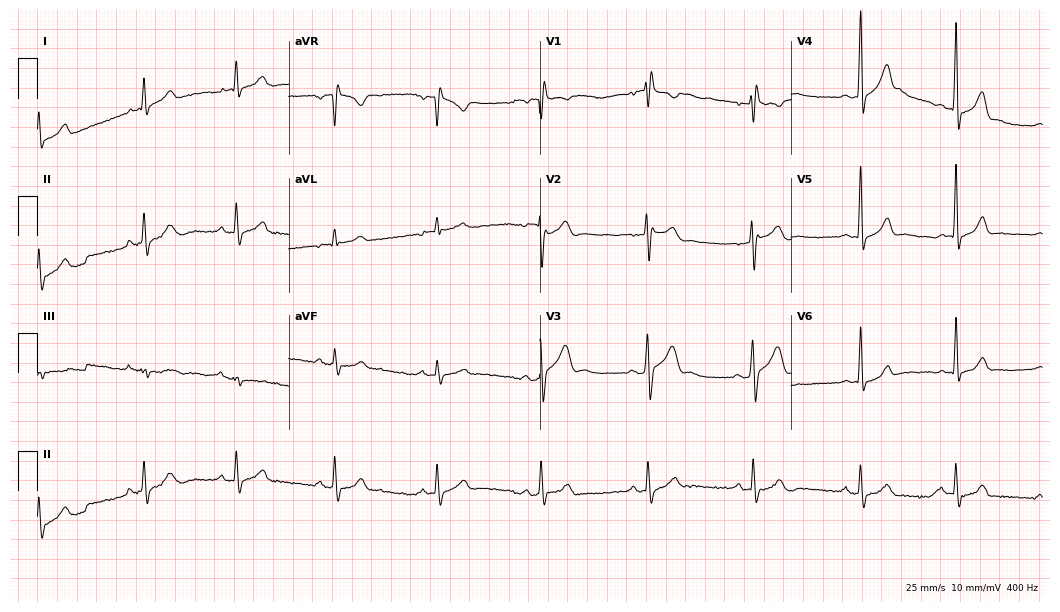
ECG — a man, 19 years old. Screened for six findings — first-degree AV block, right bundle branch block (RBBB), left bundle branch block (LBBB), sinus bradycardia, atrial fibrillation (AF), sinus tachycardia — none is recorded. Findings outside these six are not listed.